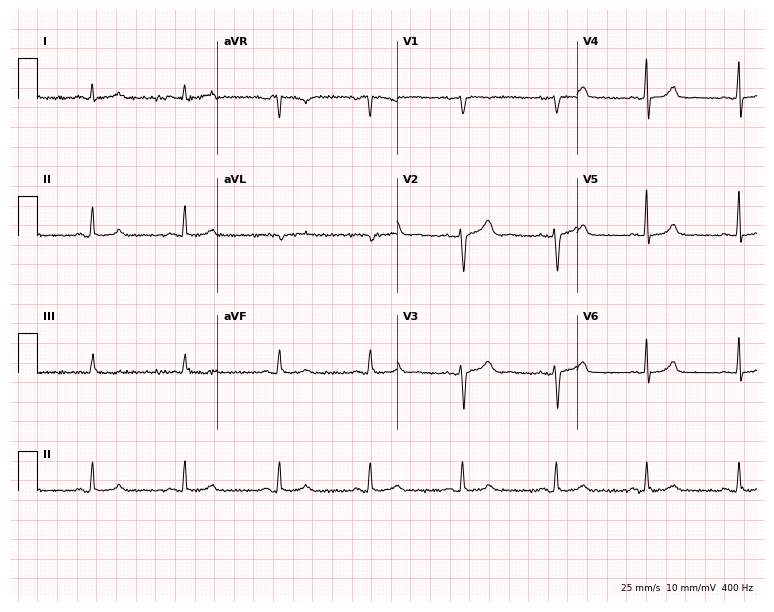
Standard 12-lead ECG recorded from a 39-year-old woman. Read as a normal ECG.